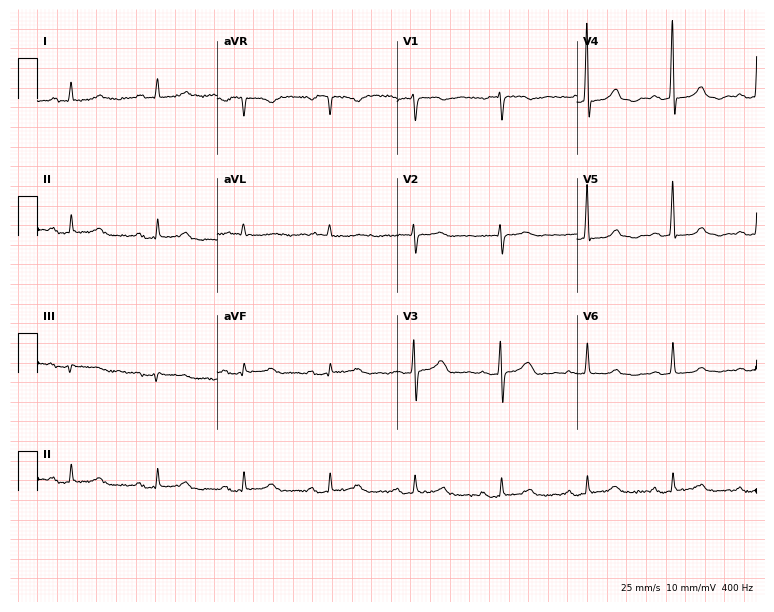
ECG — a woman, 85 years old. Screened for six findings — first-degree AV block, right bundle branch block (RBBB), left bundle branch block (LBBB), sinus bradycardia, atrial fibrillation (AF), sinus tachycardia — none is recorded. Only these six findings were labelled.